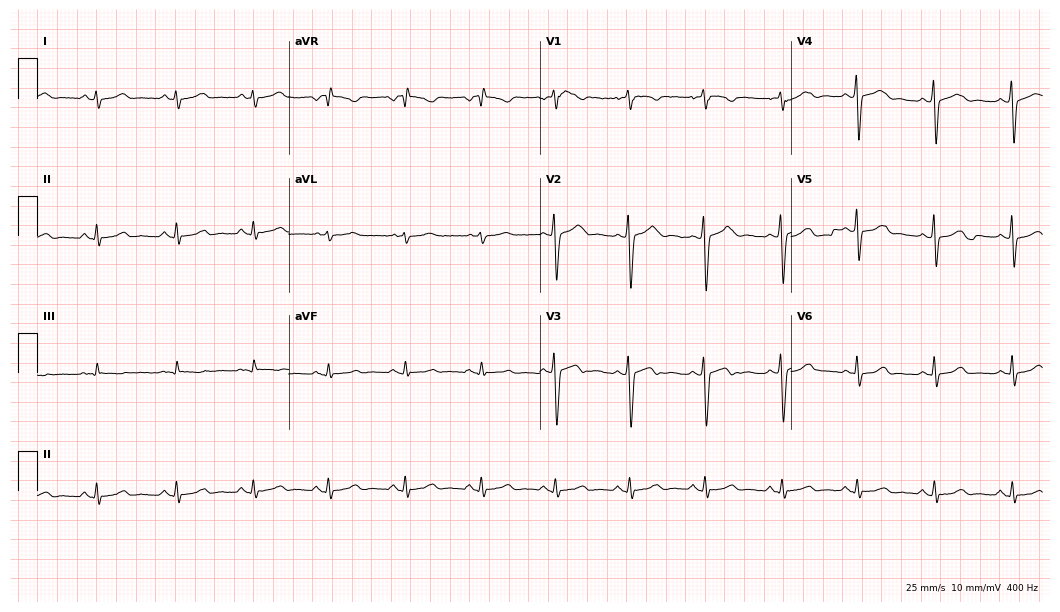
Resting 12-lead electrocardiogram (10.2-second recording at 400 Hz). Patient: a 22-year-old female. Read as a normal ECG.